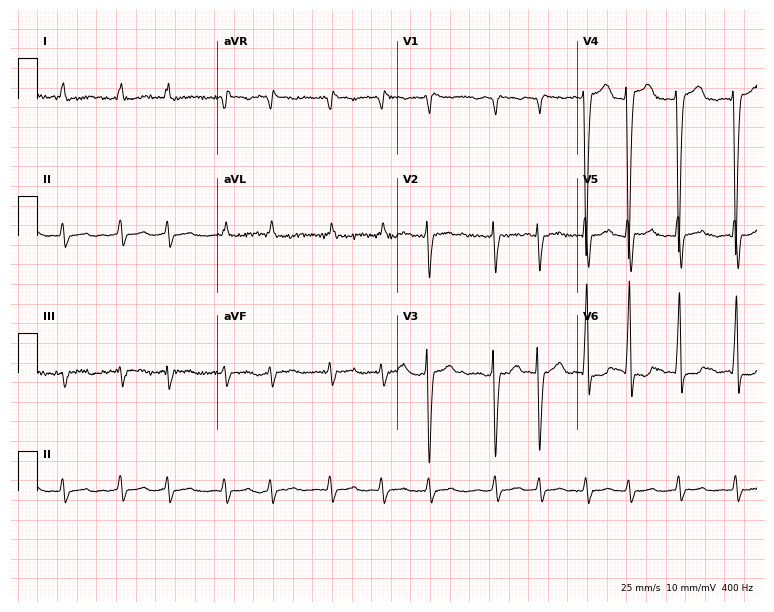
12-lead ECG (7.3-second recording at 400 Hz) from a woman, 82 years old. Findings include atrial fibrillation.